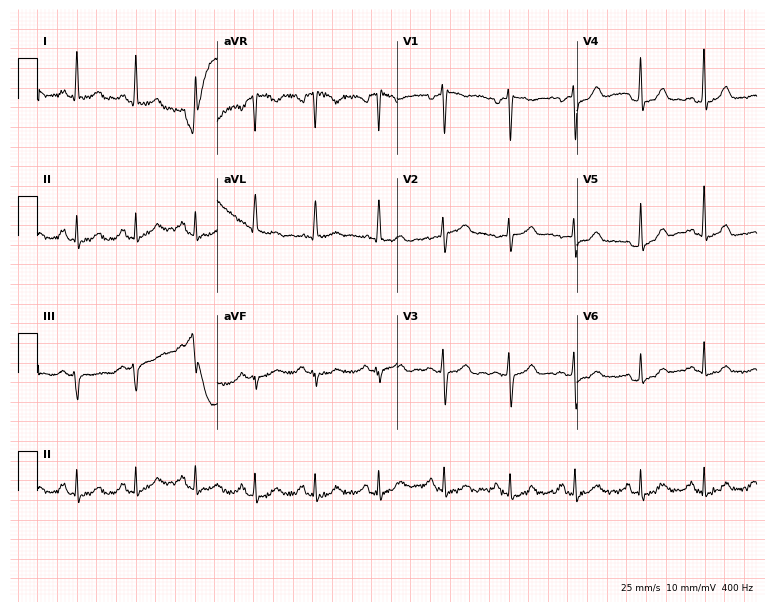
ECG (7.3-second recording at 400 Hz) — a 43-year-old female. Screened for six findings — first-degree AV block, right bundle branch block (RBBB), left bundle branch block (LBBB), sinus bradycardia, atrial fibrillation (AF), sinus tachycardia — none is recorded. Other findings, if any, are not listed.